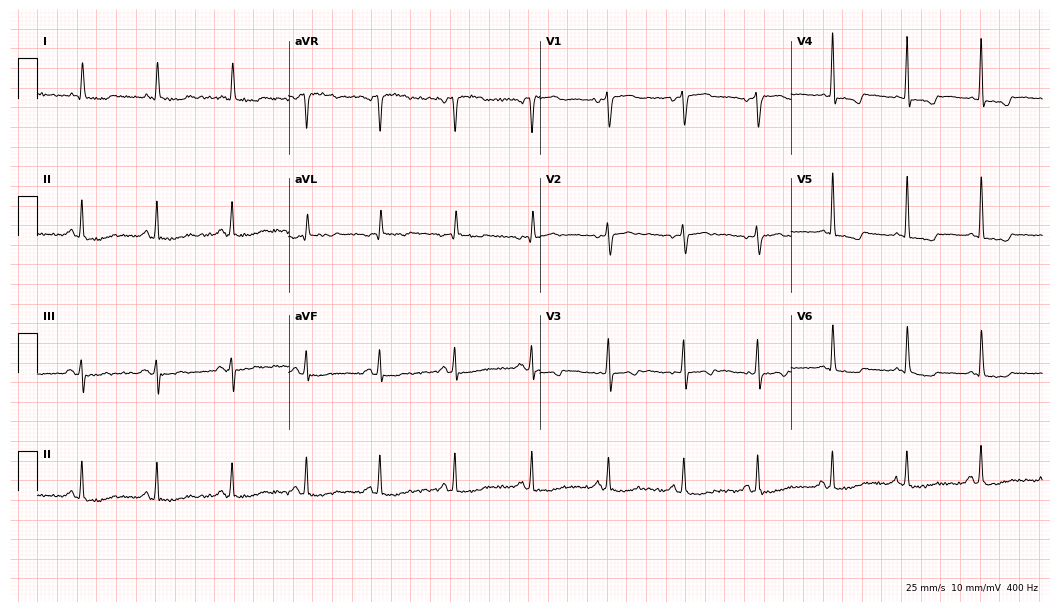
ECG (10.2-second recording at 400 Hz) — a 76-year-old female patient. Screened for six findings — first-degree AV block, right bundle branch block (RBBB), left bundle branch block (LBBB), sinus bradycardia, atrial fibrillation (AF), sinus tachycardia — none is recorded. Other findings, if any, are not listed.